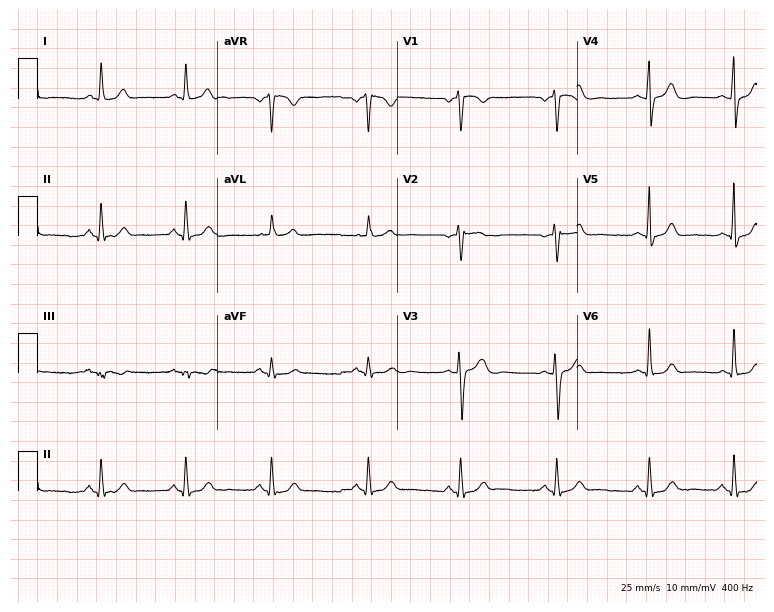
12-lead ECG from a 40-year-old female. Labelled as a normal ECG.